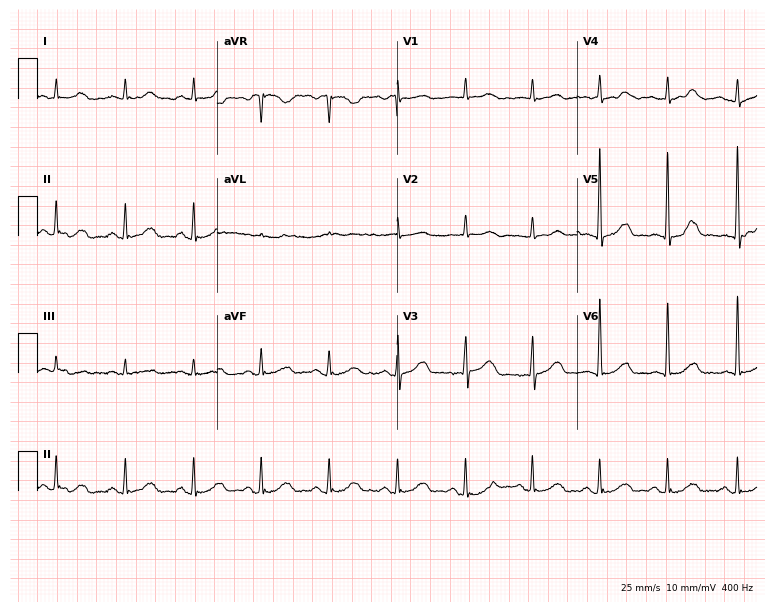
12-lead ECG (7.3-second recording at 400 Hz) from a 72-year-old woman. Screened for six findings — first-degree AV block, right bundle branch block, left bundle branch block, sinus bradycardia, atrial fibrillation, sinus tachycardia — none is recorded. Findings outside these six are not listed.